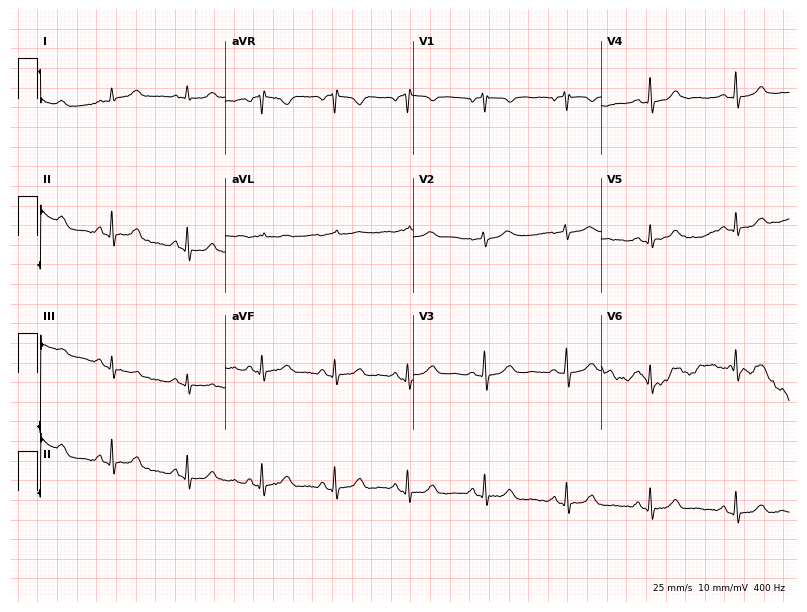
Resting 12-lead electrocardiogram. Patient: a female, 64 years old. Read as a normal ECG.